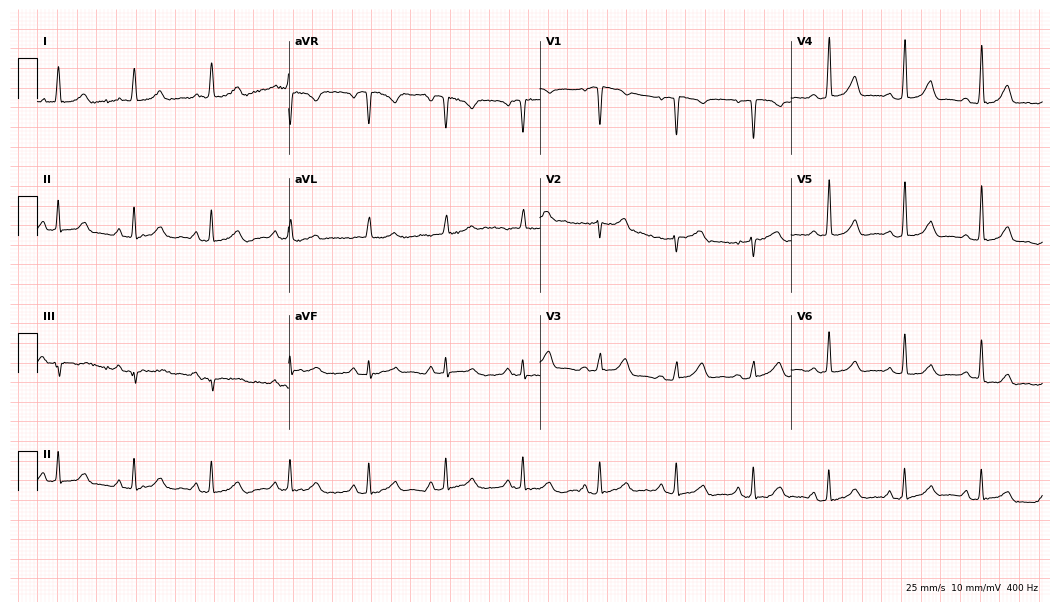
Standard 12-lead ECG recorded from a 50-year-old female. None of these six findings is recorded: first-degree AV block, right bundle branch block (RBBB), left bundle branch block (LBBB), sinus bradycardia, atrial fibrillation (AF), sinus tachycardia.